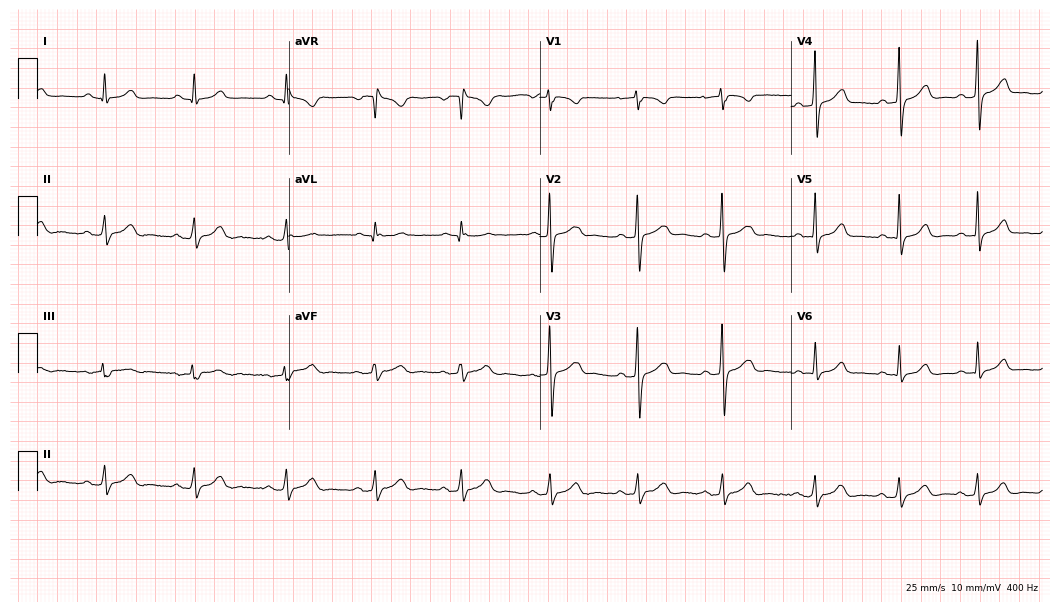
Standard 12-lead ECG recorded from a 20-year-old female patient. Read as a normal ECG.